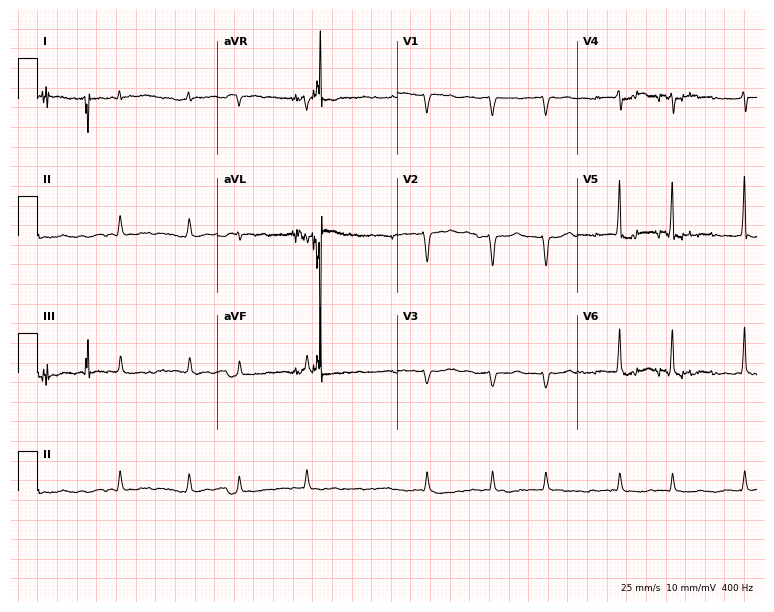
Standard 12-lead ECG recorded from a 69-year-old man. None of these six findings is recorded: first-degree AV block, right bundle branch block, left bundle branch block, sinus bradycardia, atrial fibrillation, sinus tachycardia. Only these six findings were labelled.